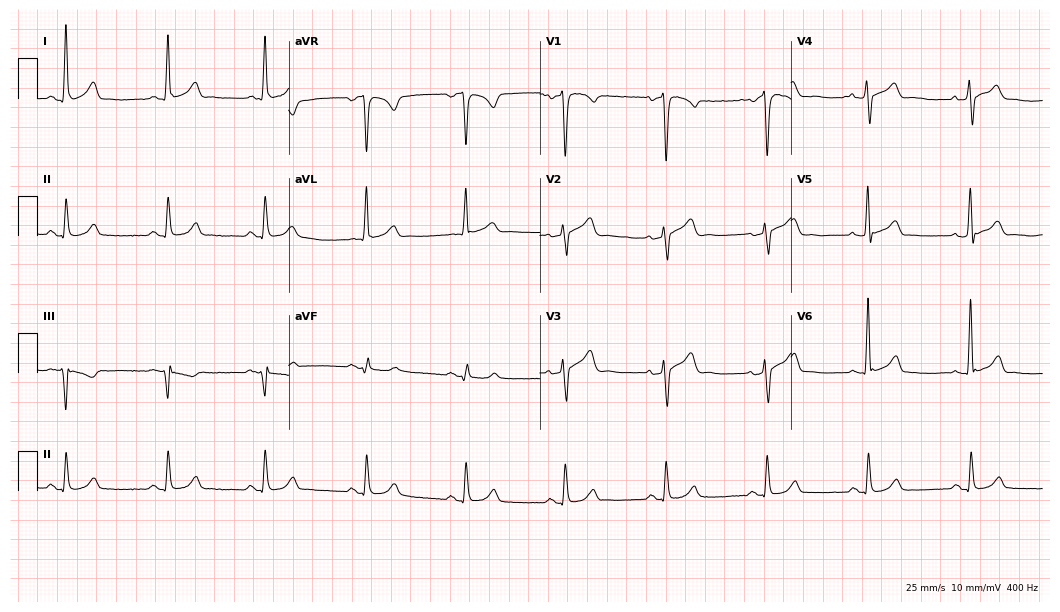
12-lead ECG from a man, 57 years old. Recorded interpretation: within normal limits.